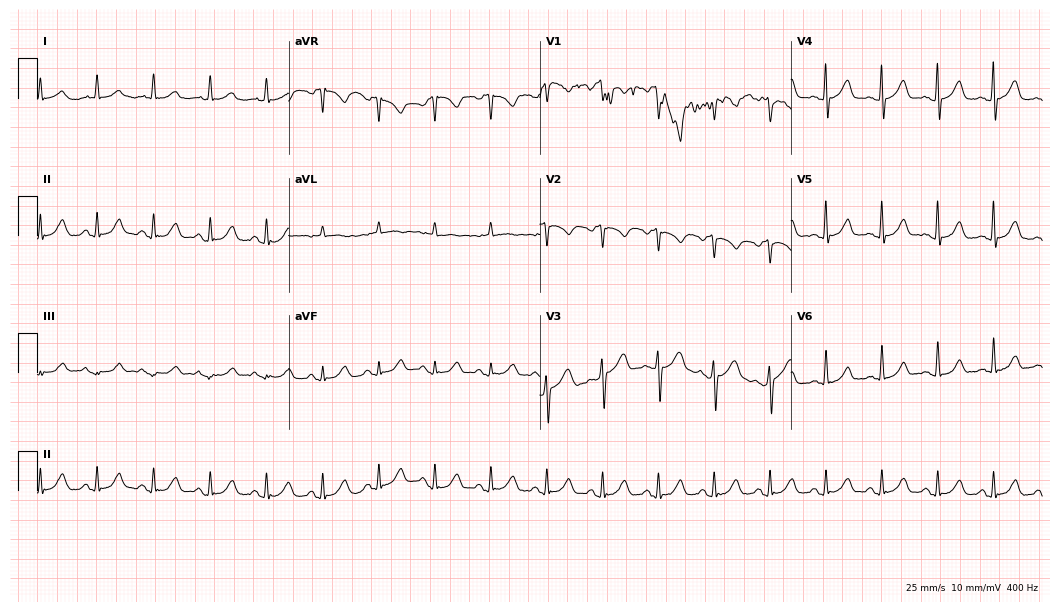
ECG (10.2-second recording at 400 Hz) — a male patient, 49 years old. Labelled as a normal ECG.